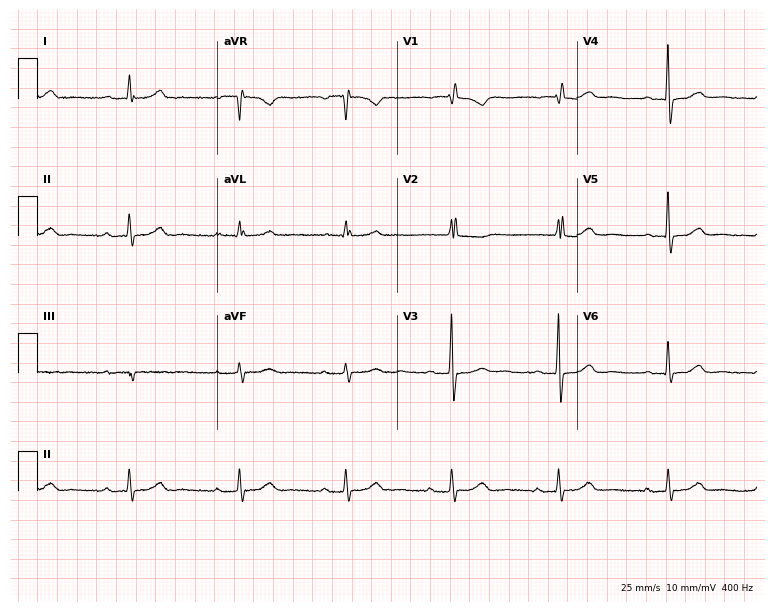
Resting 12-lead electrocardiogram. Patient: a 70-year-old female. The tracing shows first-degree AV block.